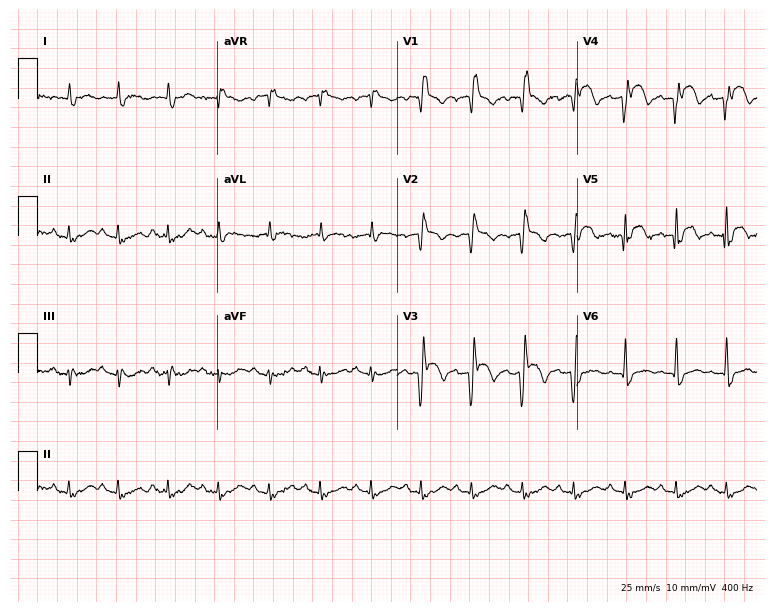
12-lead ECG from an 84-year-old male patient (7.3-second recording at 400 Hz). Shows sinus tachycardia (a sinus rate of 100 beats per minute or more).